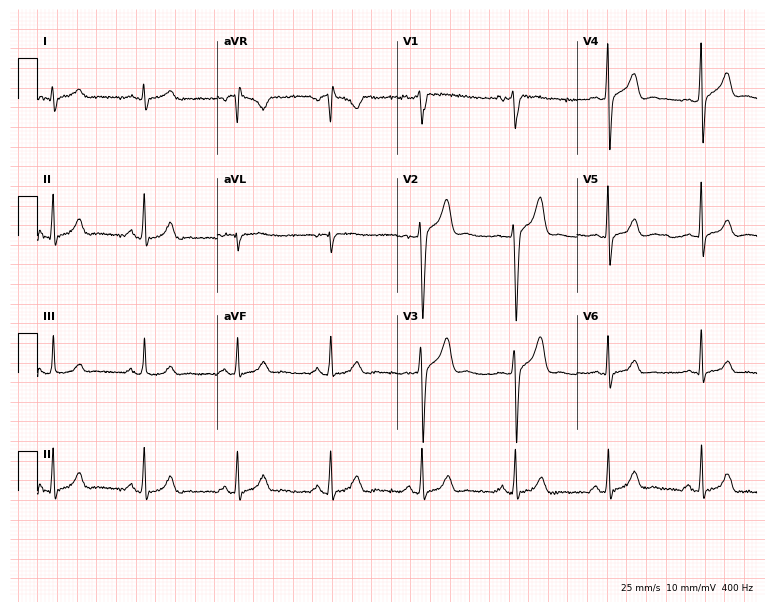
12-lead ECG from a man, 49 years old (7.3-second recording at 400 Hz). No first-degree AV block, right bundle branch block, left bundle branch block, sinus bradycardia, atrial fibrillation or sinus tachycardia recorded for this tracing.